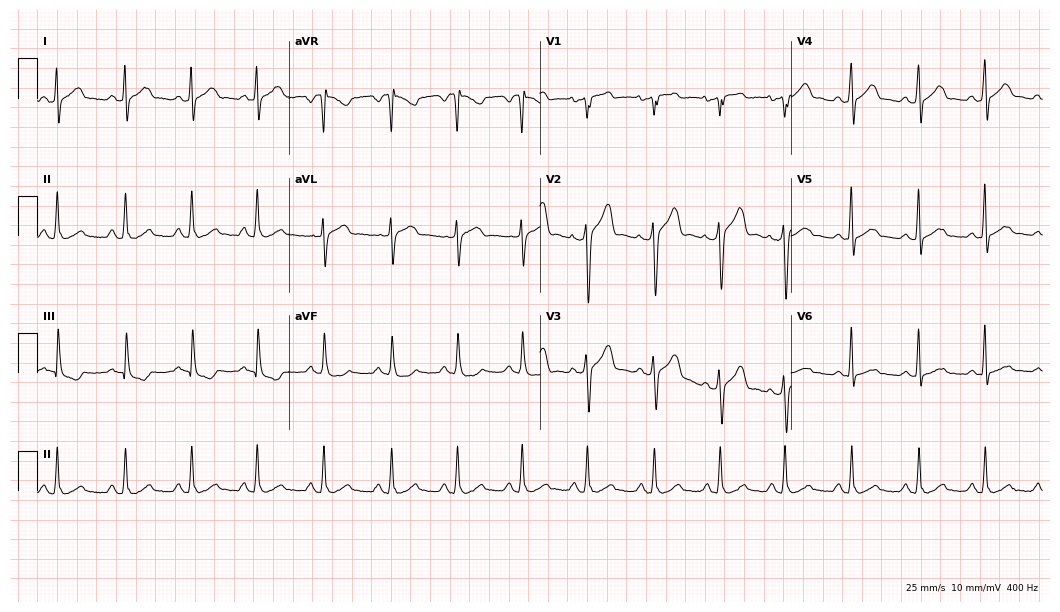
Resting 12-lead electrocardiogram. Patient: a male, 41 years old. Read as a normal ECG.